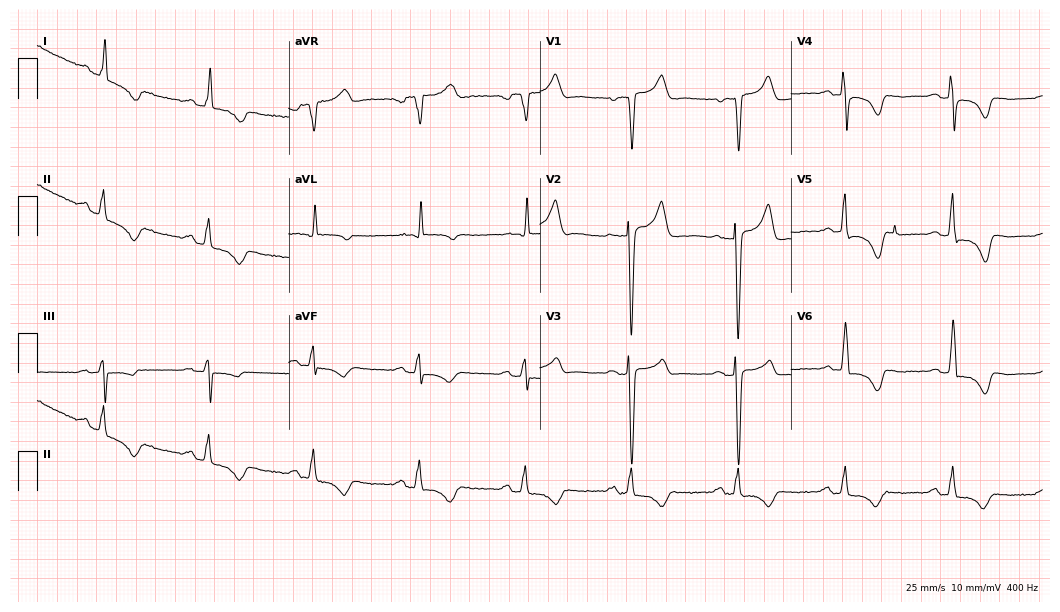
12-lead ECG from a 75-year-old man (10.2-second recording at 400 Hz). No first-degree AV block, right bundle branch block, left bundle branch block, sinus bradycardia, atrial fibrillation or sinus tachycardia recorded for this tracing.